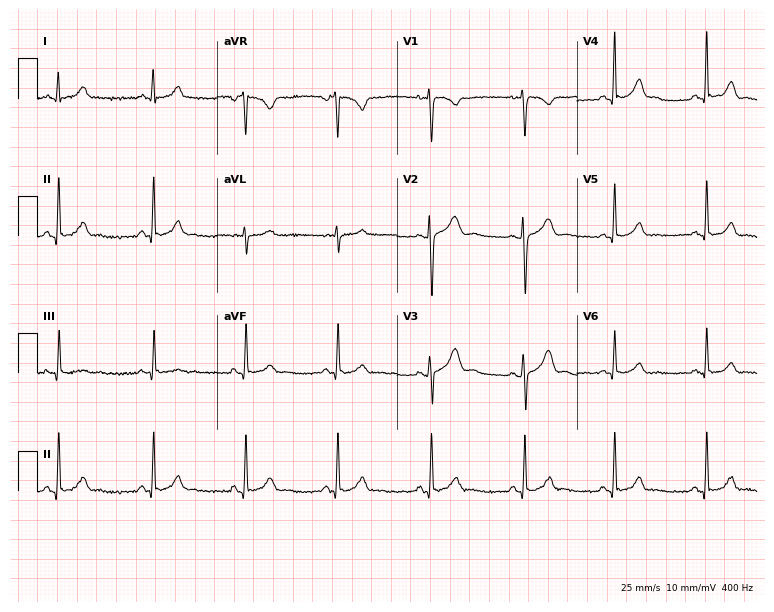
Resting 12-lead electrocardiogram (7.3-second recording at 400 Hz). Patient: a 27-year-old woman. None of these six findings is recorded: first-degree AV block, right bundle branch block, left bundle branch block, sinus bradycardia, atrial fibrillation, sinus tachycardia. Findings outside these six are not listed.